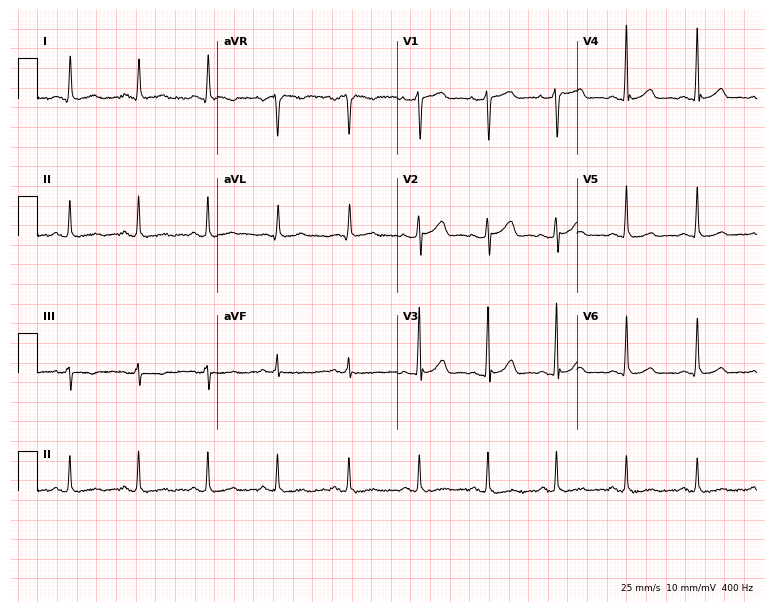
Standard 12-lead ECG recorded from a female patient, 56 years old (7.3-second recording at 400 Hz). None of these six findings is recorded: first-degree AV block, right bundle branch block, left bundle branch block, sinus bradycardia, atrial fibrillation, sinus tachycardia. Findings outside these six are not listed.